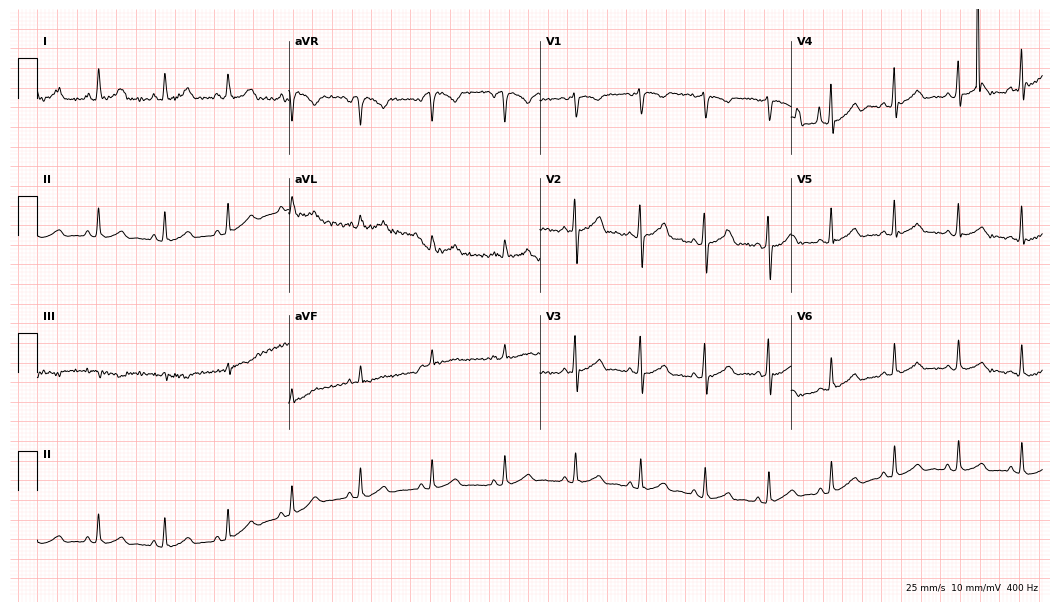
Electrocardiogram (10.2-second recording at 400 Hz), an 18-year-old female. Overall reading on record: normal ECG.